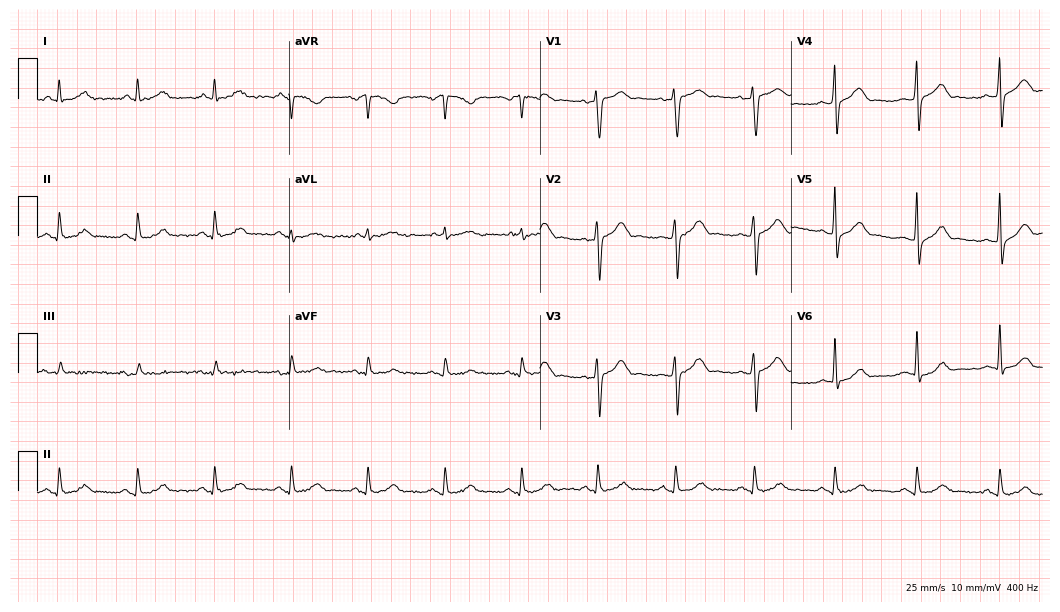
Electrocardiogram (10.2-second recording at 400 Hz), a man, 54 years old. Overall reading on record: normal ECG.